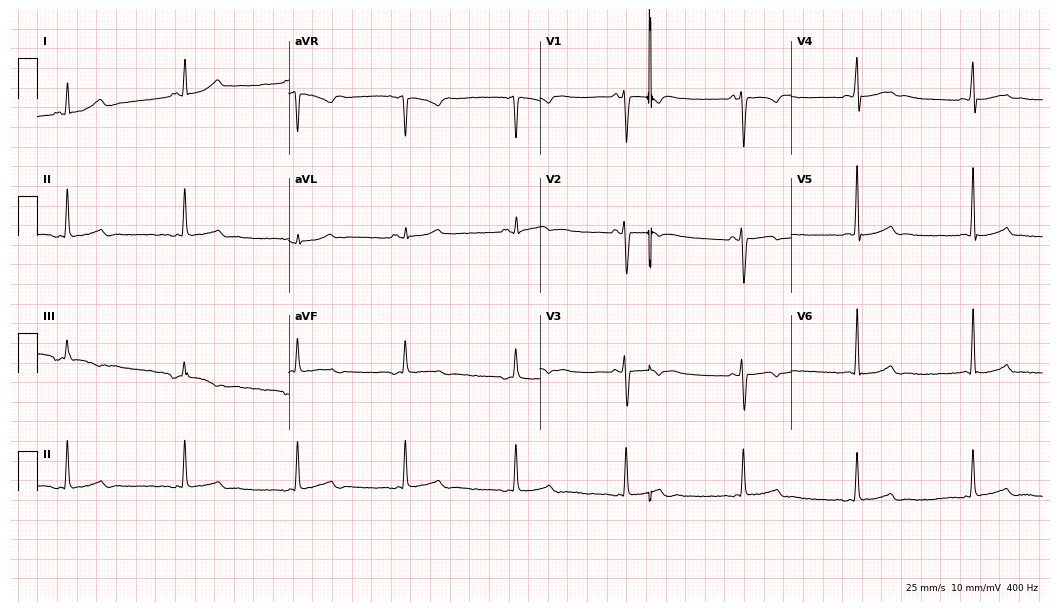
ECG (10.2-second recording at 400 Hz) — a woman, 25 years old. Screened for six findings — first-degree AV block, right bundle branch block, left bundle branch block, sinus bradycardia, atrial fibrillation, sinus tachycardia — none is recorded.